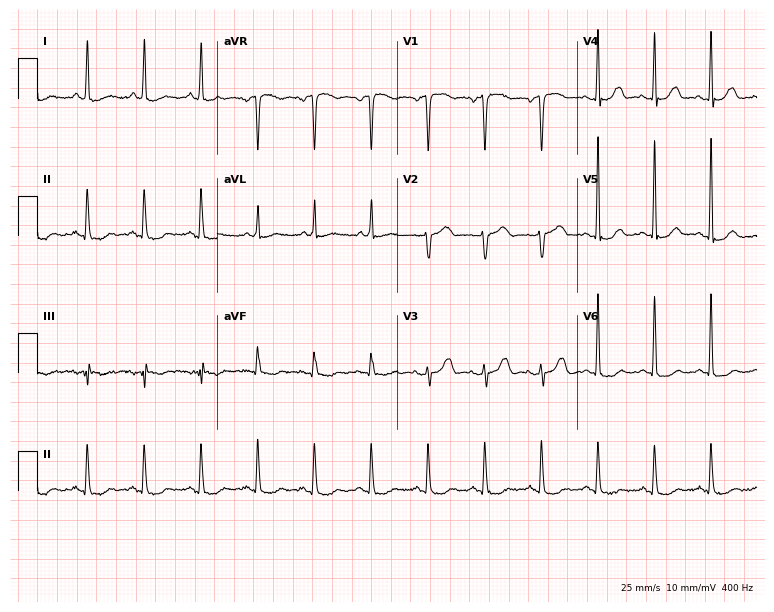
12-lead ECG (7.3-second recording at 400 Hz) from a woman, 77 years old. Findings include sinus tachycardia (a sinus rate of 100 beats per minute or more).